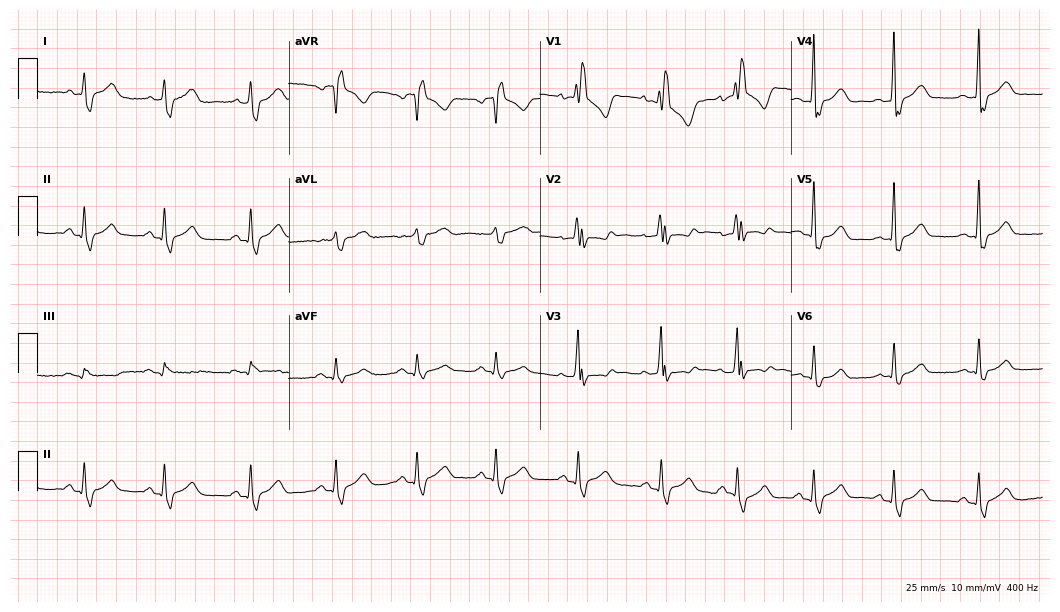
12-lead ECG from a 40-year-old woman. Findings include right bundle branch block.